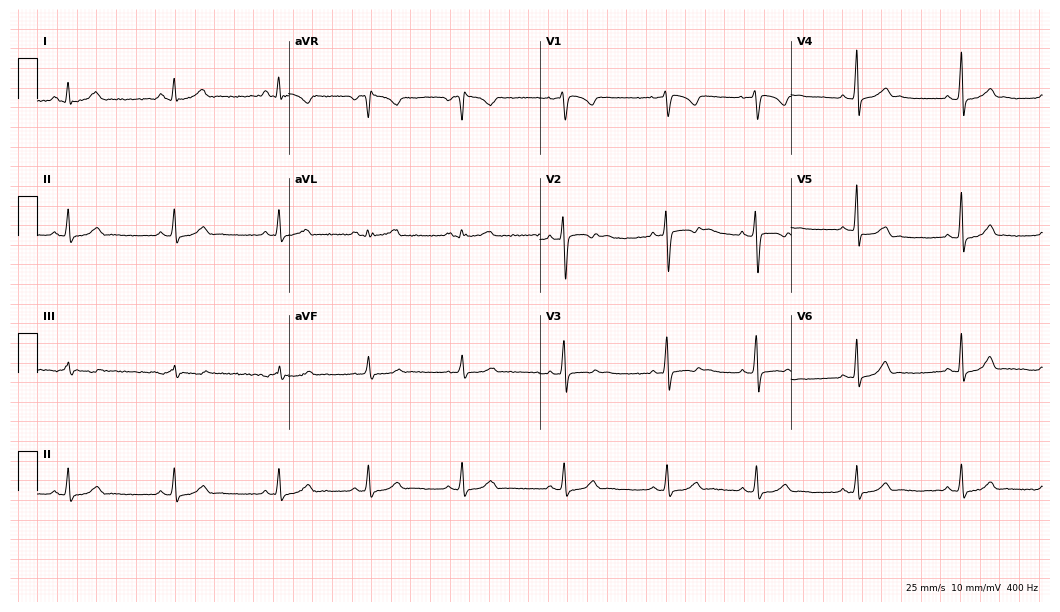
12-lead ECG (10.2-second recording at 400 Hz) from a woman, 18 years old. Labelled as a normal ECG.